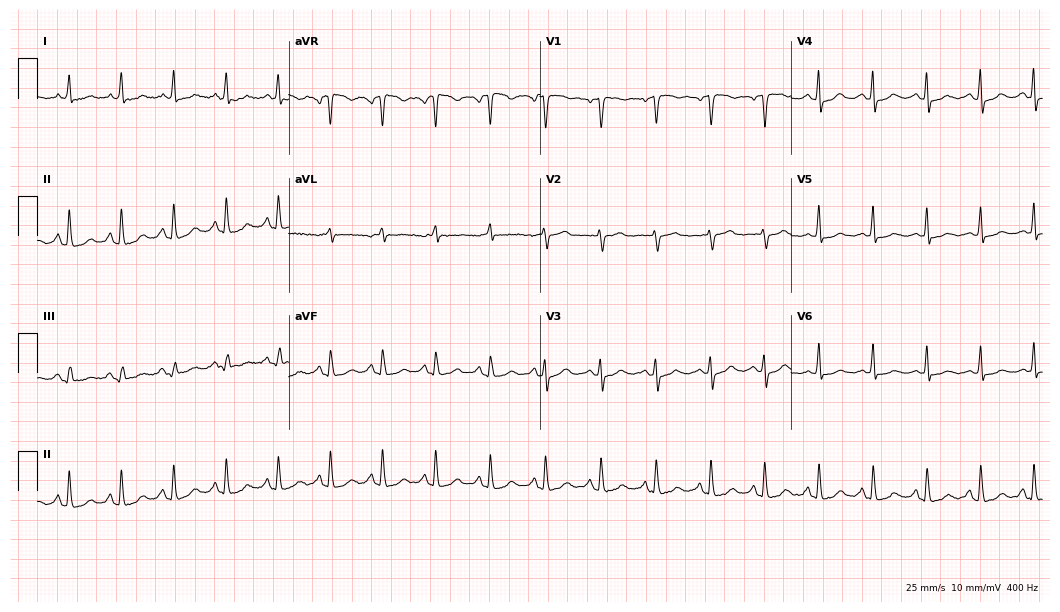
12-lead ECG from a male patient, 58 years old (10.2-second recording at 400 Hz). Shows sinus tachycardia (a sinus rate of 100 beats per minute or more).